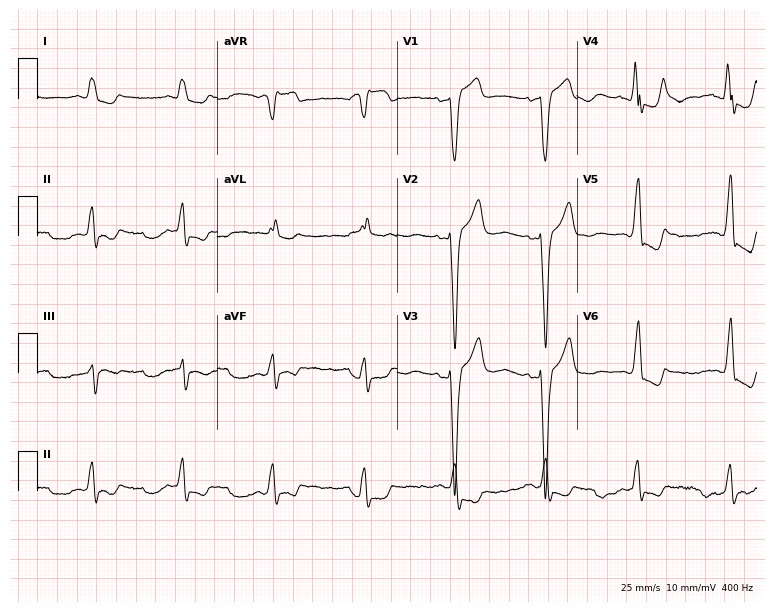
12-lead ECG from an 82-year-old female patient. Findings include left bundle branch block.